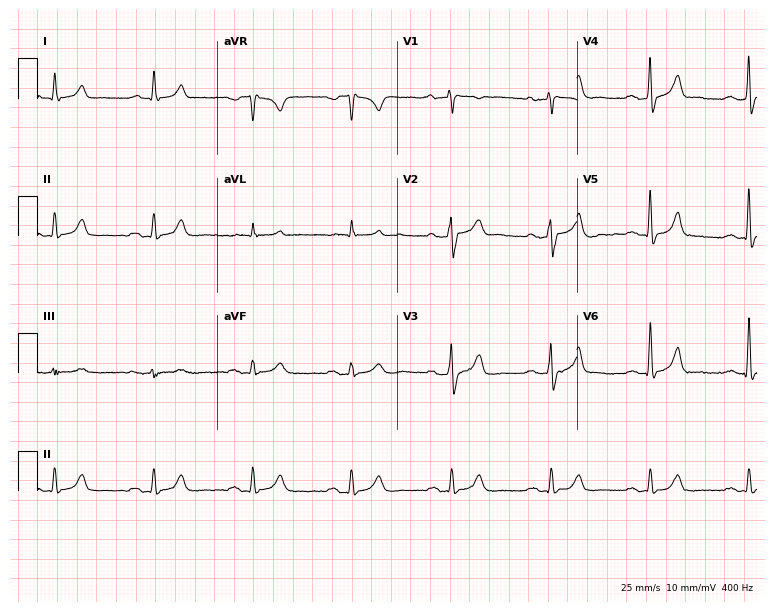
ECG — a 61-year-old male. Findings include first-degree AV block.